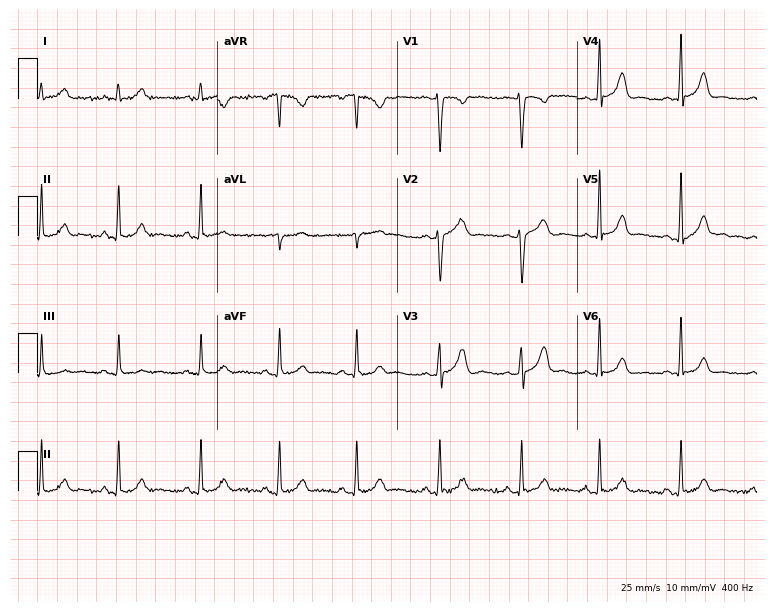
Electrocardiogram, a woman, 28 years old. Of the six screened findings (first-degree AV block, right bundle branch block, left bundle branch block, sinus bradycardia, atrial fibrillation, sinus tachycardia), none is recorded.